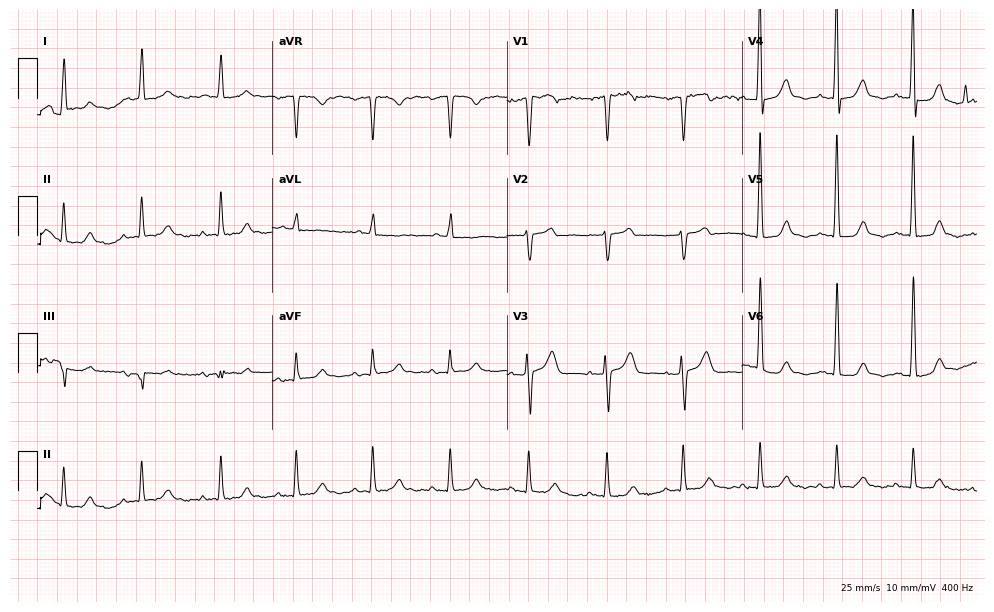
12-lead ECG from a male, 69 years old. Screened for six findings — first-degree AV block, right bundle branch block, left bundle branch block, sinus bradycardia, atrial fibrillation, sinus tachycardia — none is recorded. Findings outside these six are not listed.